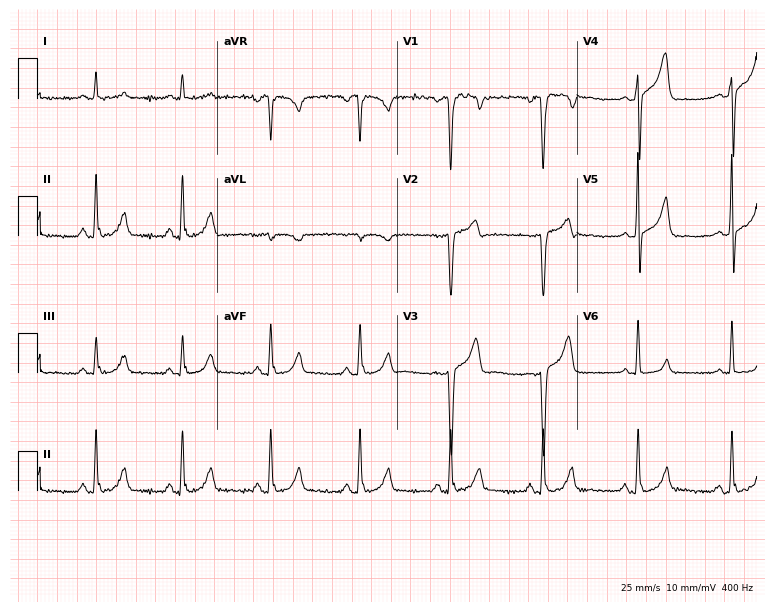
ECG (7.3-second recording at 400 Hz) — a man, 50 years old. Labelled as a normal ECG.